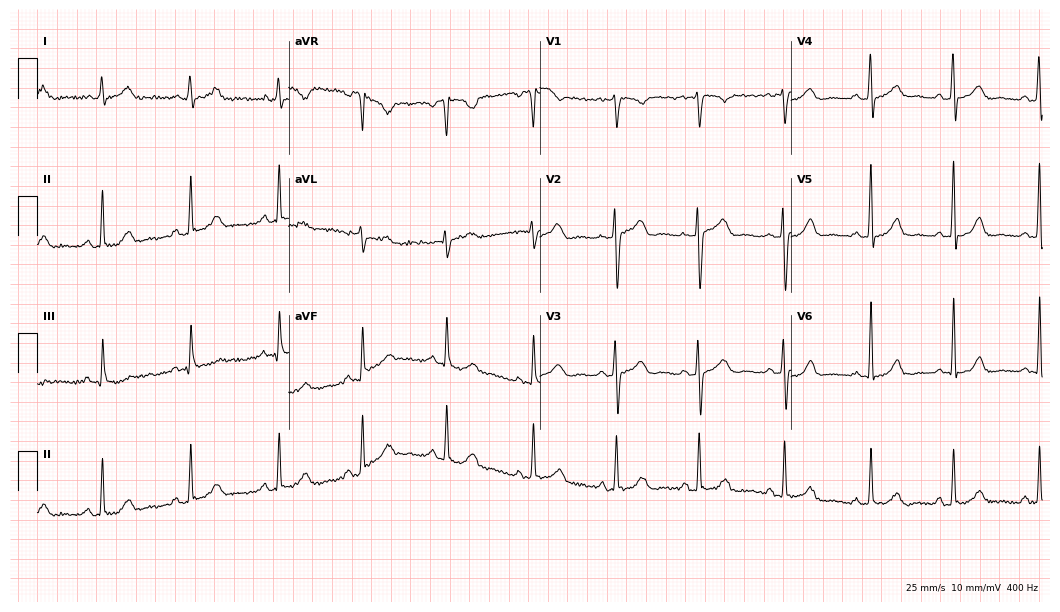
Electrocardiogram, a 26-year-old woman. Overall reading on record: normal ECG.